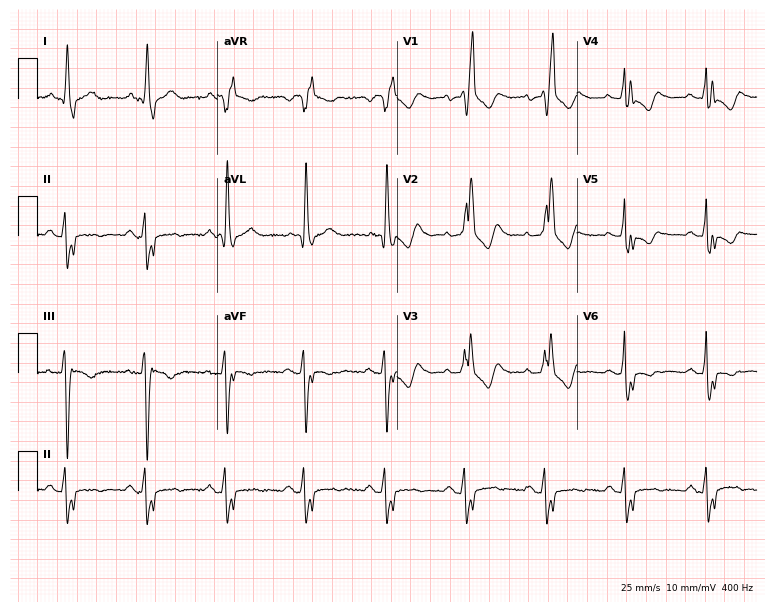
12-lead ECG from a 73-year-old man. Findings include right bundle branch block, left bundle branch block.